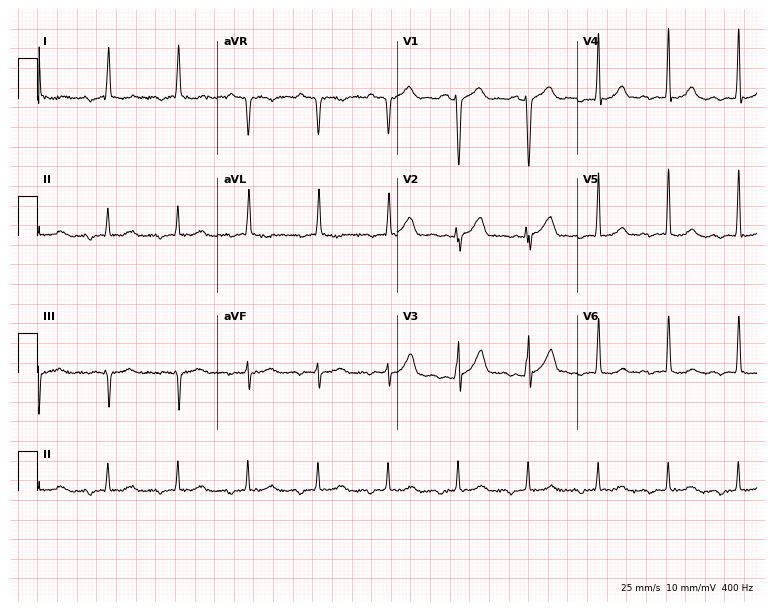
ECG (7.3-second recording at 400 Hz) — a 55-year-old man. Screened for six findings — first-degree AV block, right bundle branch block, left bundle branch block, sinus bradycardia, atrial fibrillation, sinus tachycardia — none is recorded. Findings outside these six are not listed.